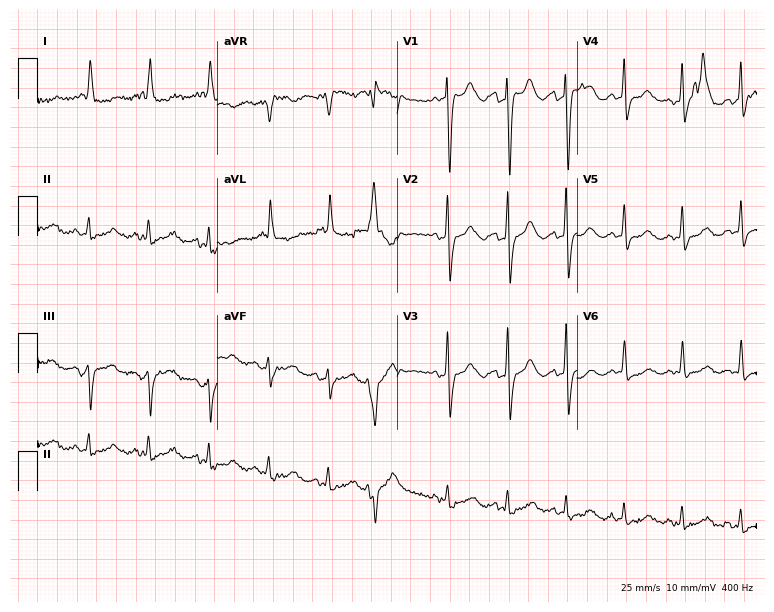
ECG — a woman, 84 years old. Screened for six findings — first-degree AV block, right bundle branch block (RBBB), left bundle branch block (LBBB), sinus bradycardia, atrial fibrillation (AF), sinus tachycardia — none is recorded.